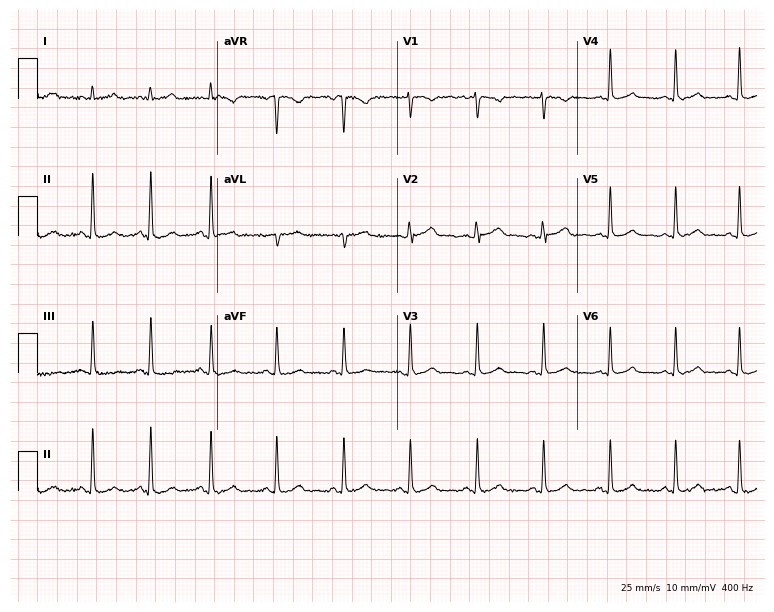
Standard 12-lead ECG recorded from a female patient, 30 years old. Read as a normal ECG.